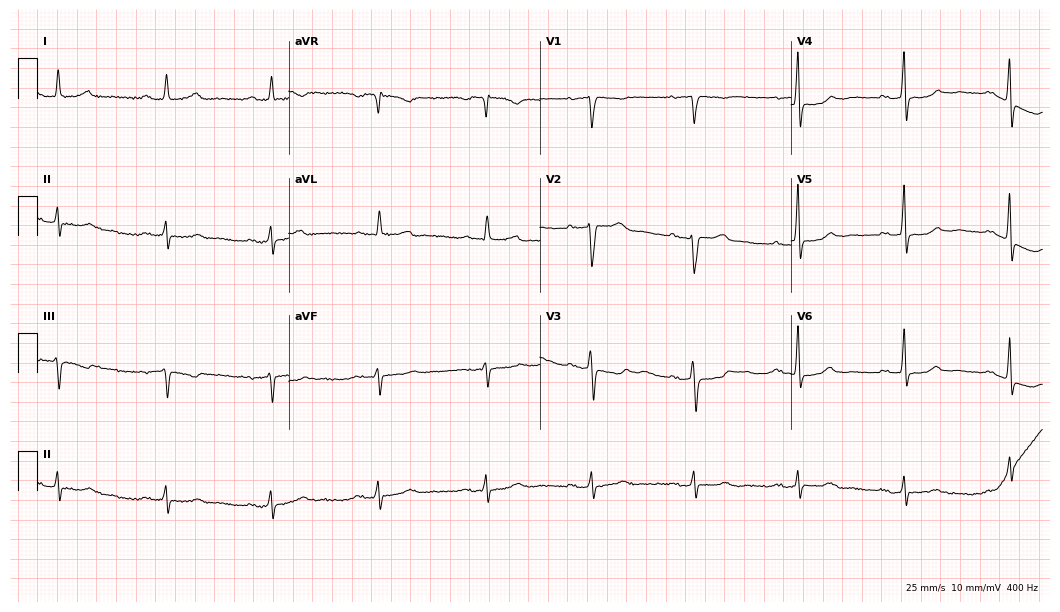
12-lead ECG from a 59-year-old woman (10.2-second recording at 400 Hz). Shows first-degree AV block.